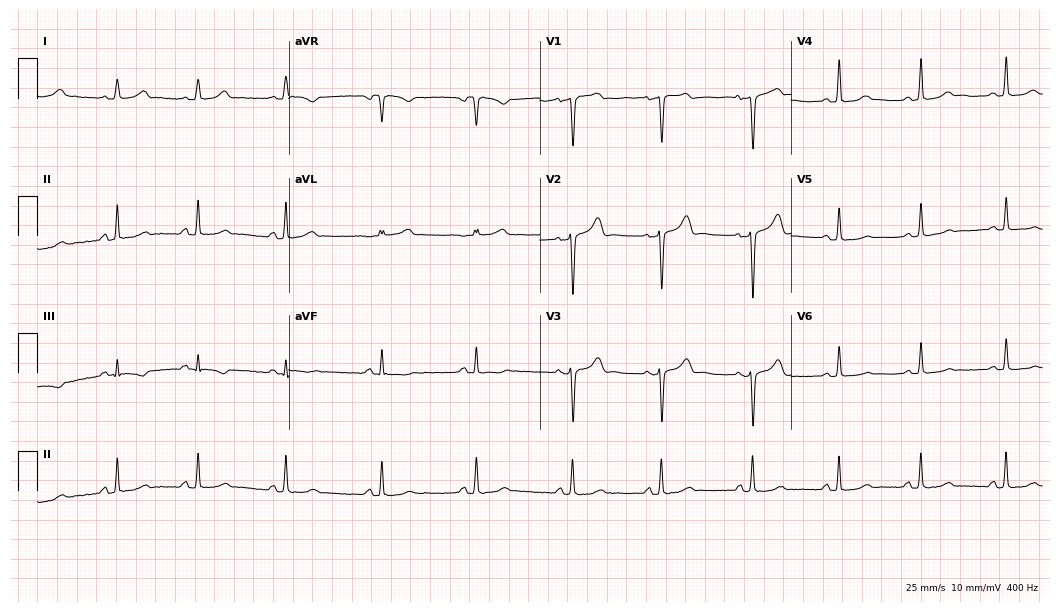
Electrocardiogram (10.2-second recording at 400 Hz), a woman, 28 years old. Of the six screened findings (first-degree AV block, right bundle branch block (RBBB), left bundle branch block (LBBB), sinus bradycardia, atrial fibrillation (AF), sinus tachycardia), none is recorded. Other findings, if any, are not listed.